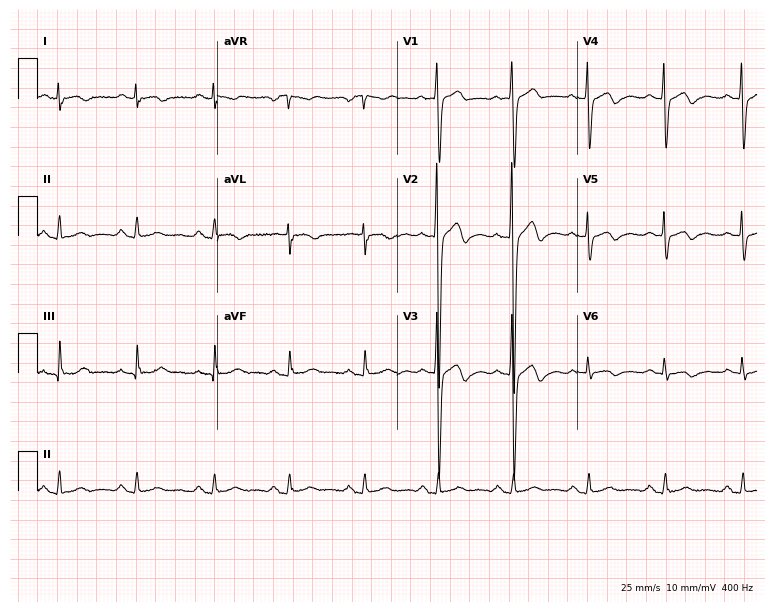
12-lead ECG (7.3-second recording at 400 Hz) from a 34-year-old man. Screened for six findings — first-degree AV block, right bundle branch block, left bundle branch block, sinus bradycardia, atrial fibrillation, sinus tachycardia — none is recorded. Only these six findings were labelled.